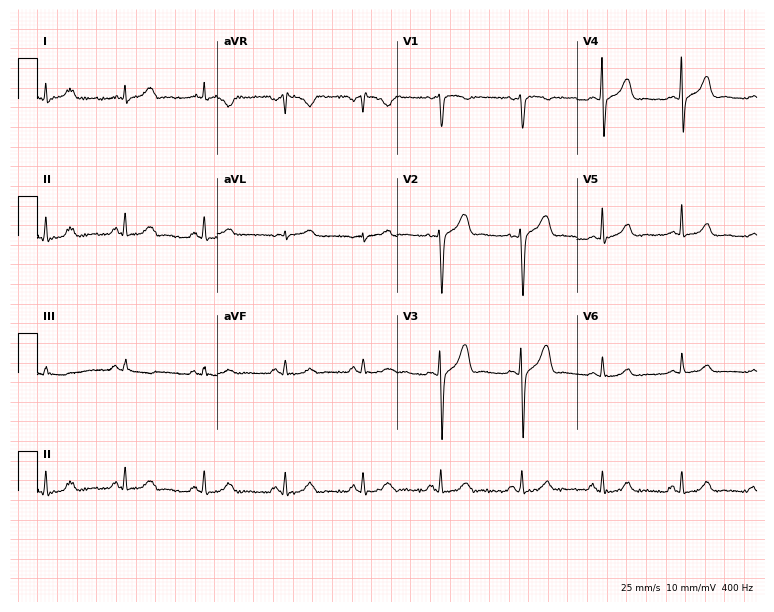
Resting 12-lead electrocardiogram. Patient: a woman, 40 years old. Read as a normal ECG.